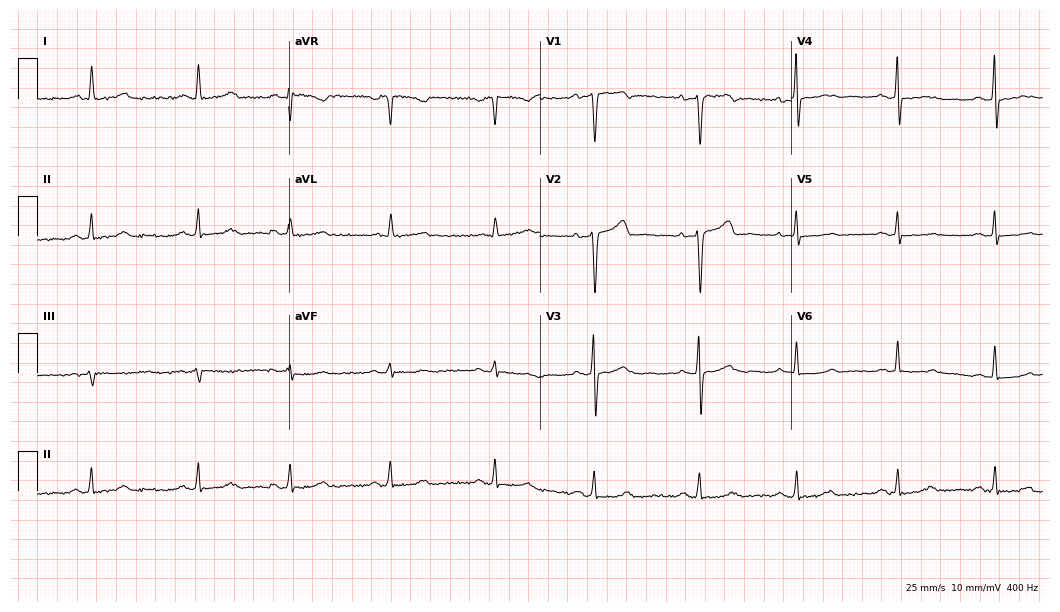
Electrocardiogram, a 39-year-old female. Overall reading on record: normal ECG.